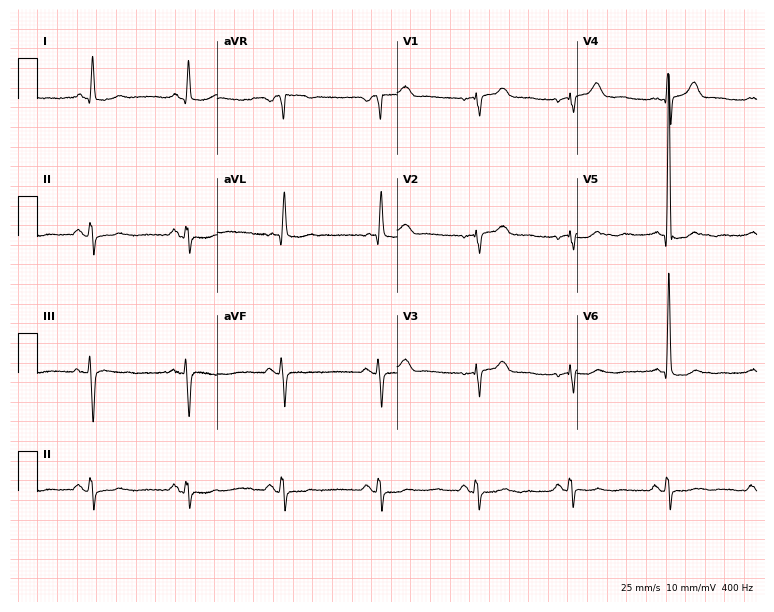
12-lead ECG from a female, 77 years old. Screened for six findings — first-degree AV block, right bundle branch block (RBBB), left bundle branch block (LBBB), sinus bradycardia, atrial fibrillation (AF), sinus tachycardia — none is recorded.